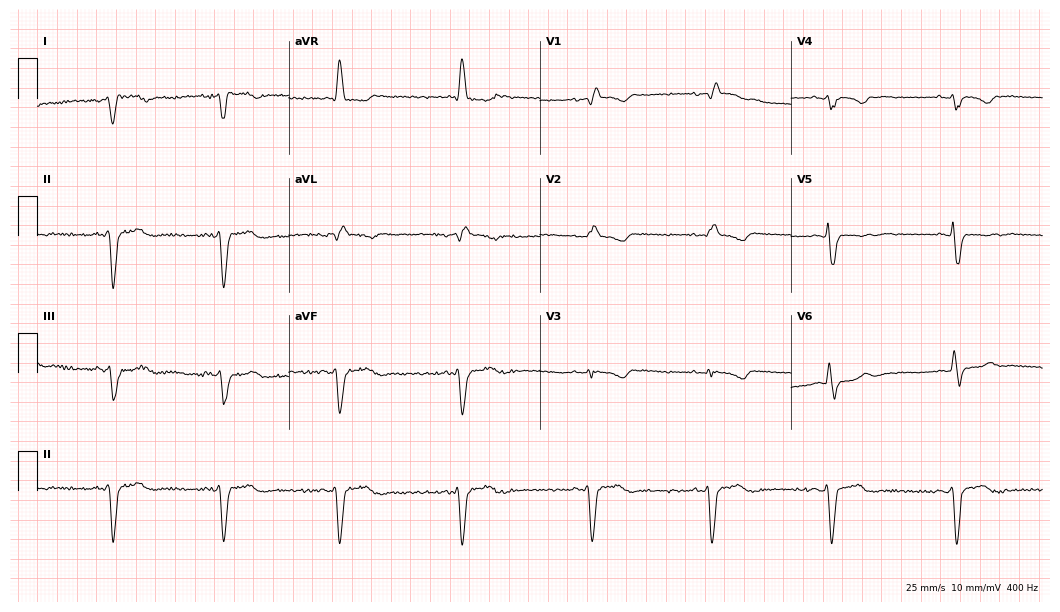
Standard 12-lead ECG recorded from a female, 67 years old. None of these six findings is recorded: first-degree AV block, right bundle branch block, left bundle branch block, sinus bradycardia, atrial fibrillation, sinus tachycardia. Findings outside these six are not listed.